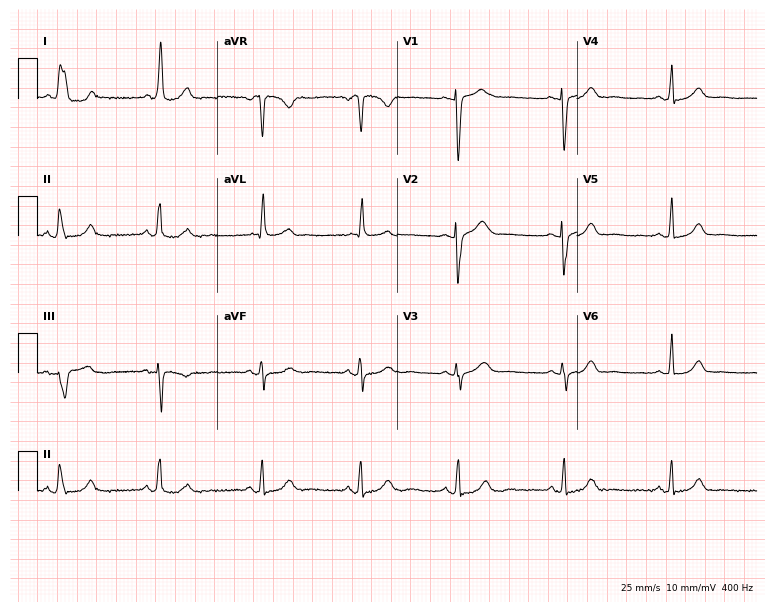
Electrocardiogram (7.3-second recording at 400 Hz), a 61-year-old woman. Of the six screened findings (first-degree AV block, right bundle branch block, left bundle branch block, sinus bradycardia, atrial fibrillation, sinus tachycardia), none is recorded.